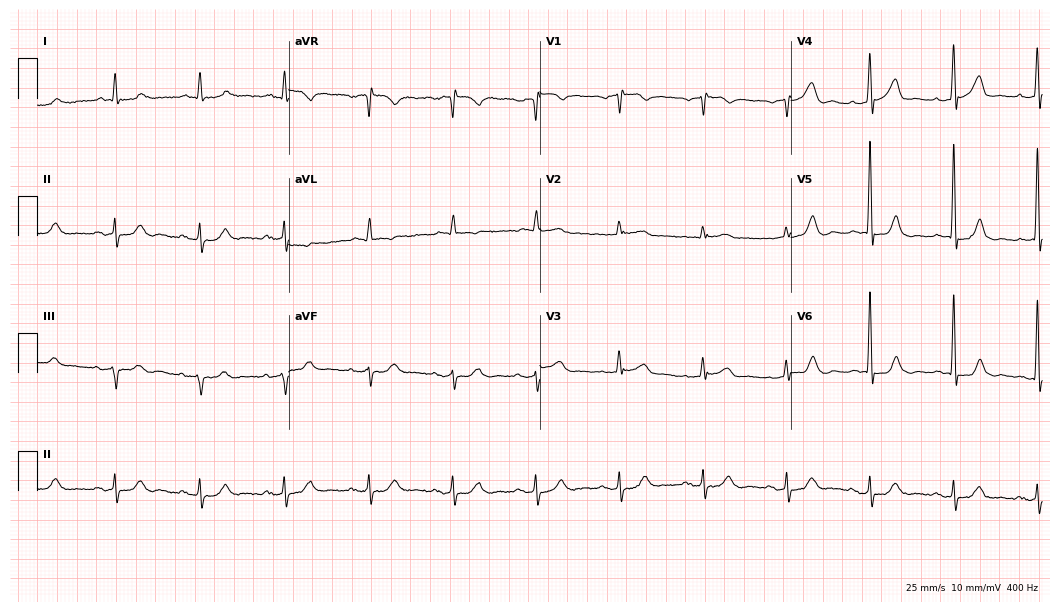
12-lead ECG (10.2-second recording at 400 Hz) from a 76-year-old man. Screened for six findings — first-degree AV block, right bundle branch block, left bundle branch block, sinus bradycardia, atrial fibrillation, sinus tachycardia — none is recorded. Findings outside these six are not listed.